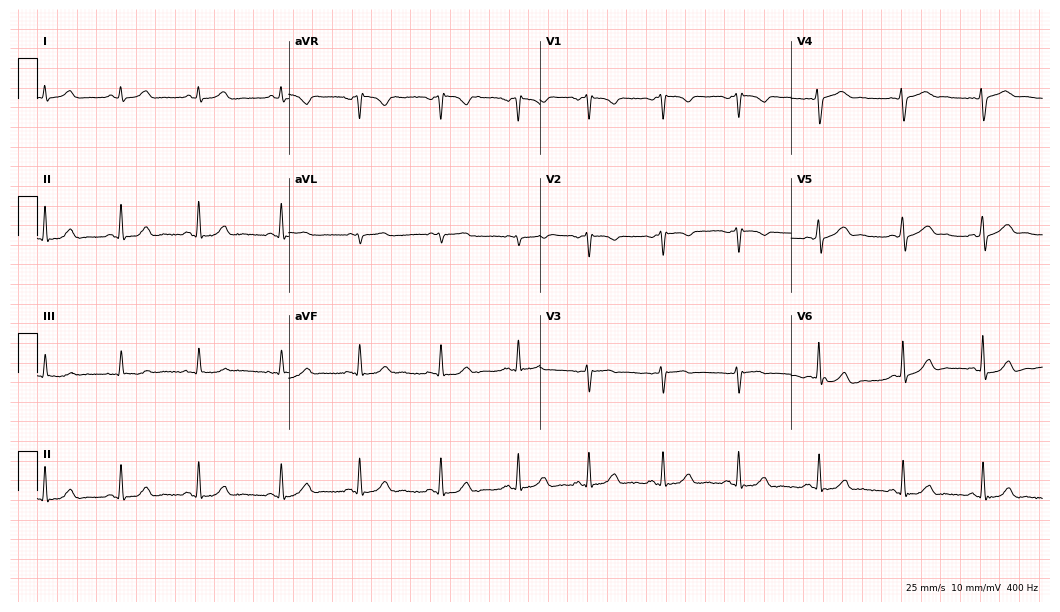
Standard 12-lead ECG recorded from a female patient, 34 years old. Read as a normal ECG.